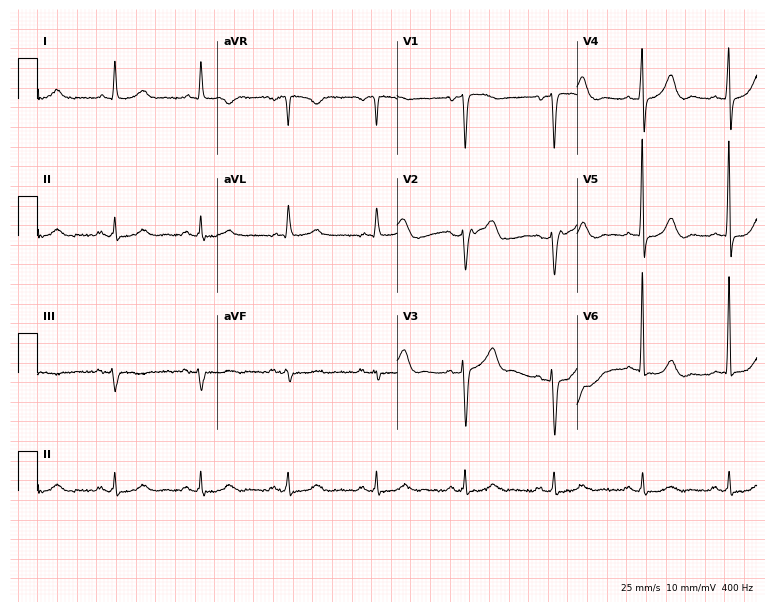
Resting 12-lead electrocardiogram (7.3-second recording at 400 Hz). Patient: a female, 64 years old. Read as a normal ECG.